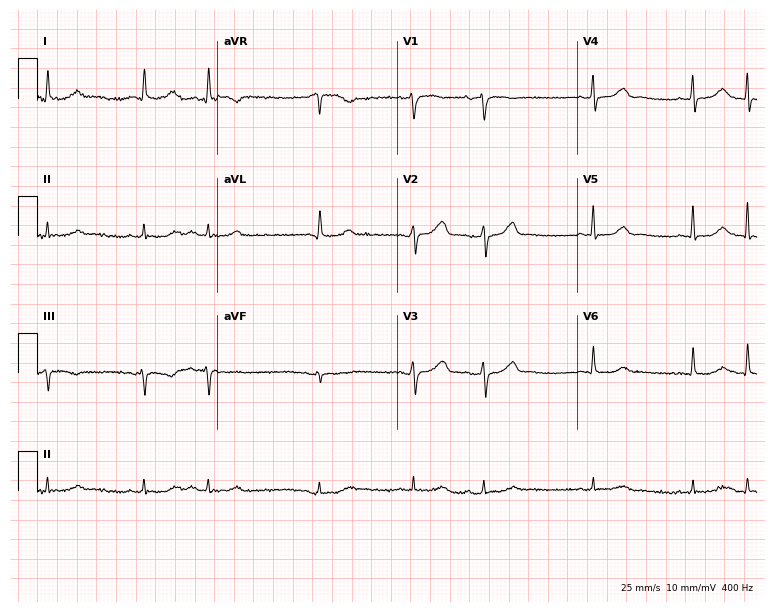
Resting 12-lead electrocardiogram (7.3-second recording at 400 Hz). Patient: an 82-year-old woman. None of these six findings is recorded: first-degree AV block, right bundle branch block, left bundle branch block, sinus bradycardia, atrial fibrillation, sinus tachycardia.